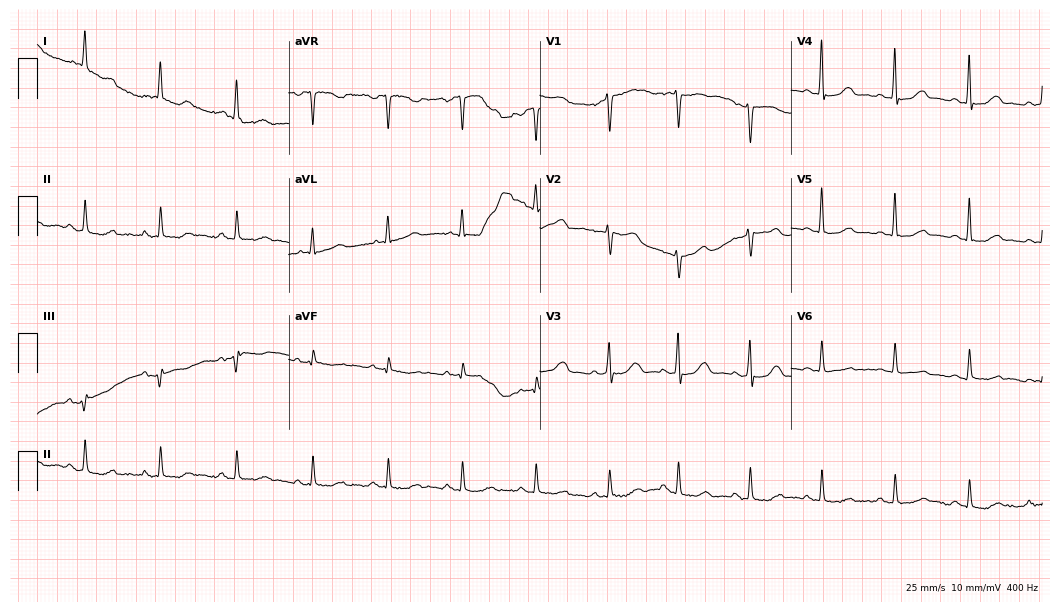
Standard 12-lead ECG recorded from a female, 58 years old. Read as a normal ECG.